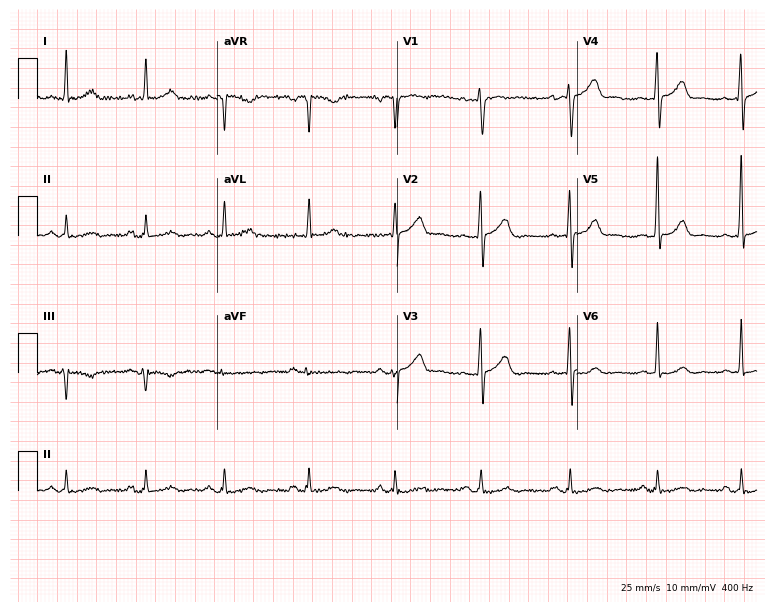
Standard 12-lead ECG recorded from a male, 56 years old (7.3-second recording at 400 Hz). None of these six findings is recorded: first-degree AV block, right bundle branch block, left bundle branch block, sinus bradycardia, atrial fibrillation, sinus tachycardia.